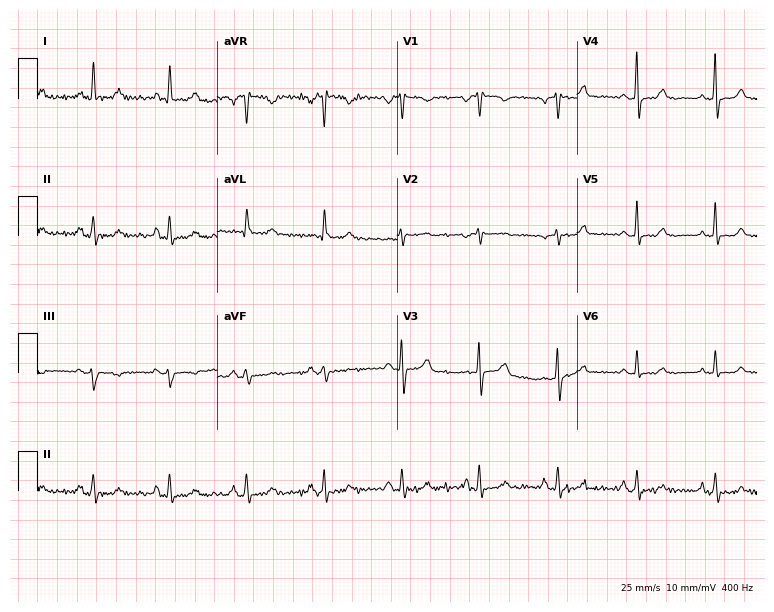
Resting 12-lead electrocardiogram (7.3-second recording at 400 Hz). Patient: a 57-year-old woman. None of these six findings is recorded: first-degree AV block, right bundle branch block, left bundle branch block, sinus bradycardia, atrial fibrillation, sinus tachycardia. Other findings, if any, are not listed.